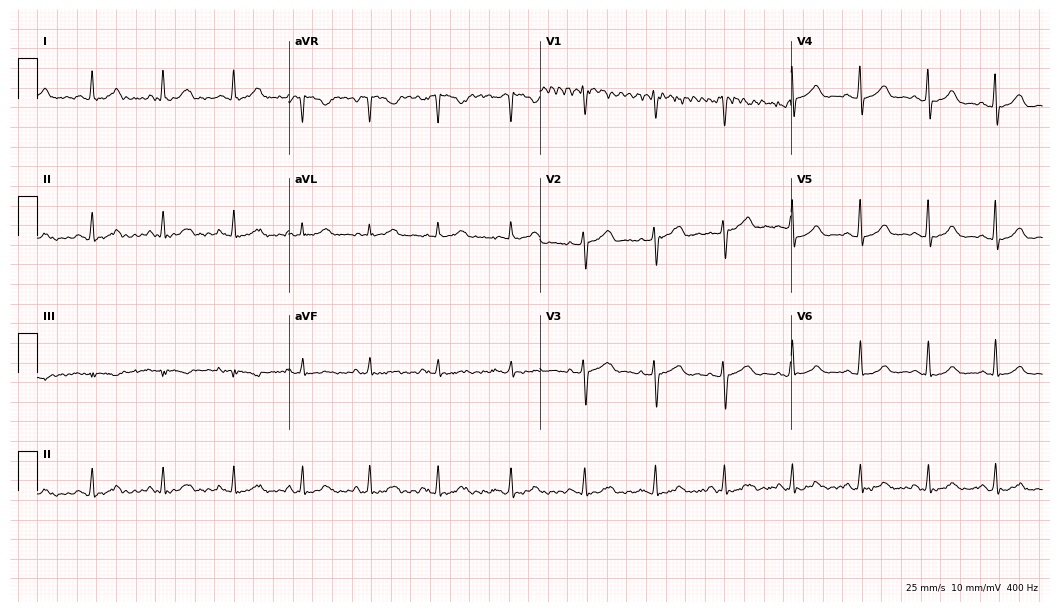
Electrocardiogram, a female patient, 47 years old. Overall reading on record: normal ECG.